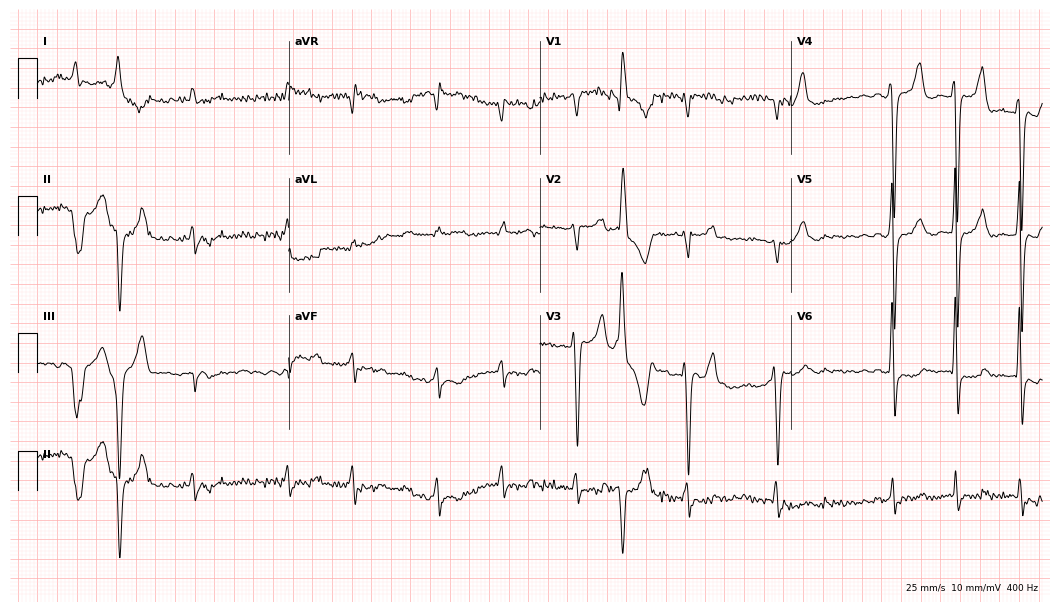
12-lead ECG from a man, 76 years old (10.2-second recording at 400 Hz). No first-degree AV block, right bundle branch block, left bundle branch block, sinus bradycardia, atrial fibrillation or sinus tachycardia recorded for this tracing.